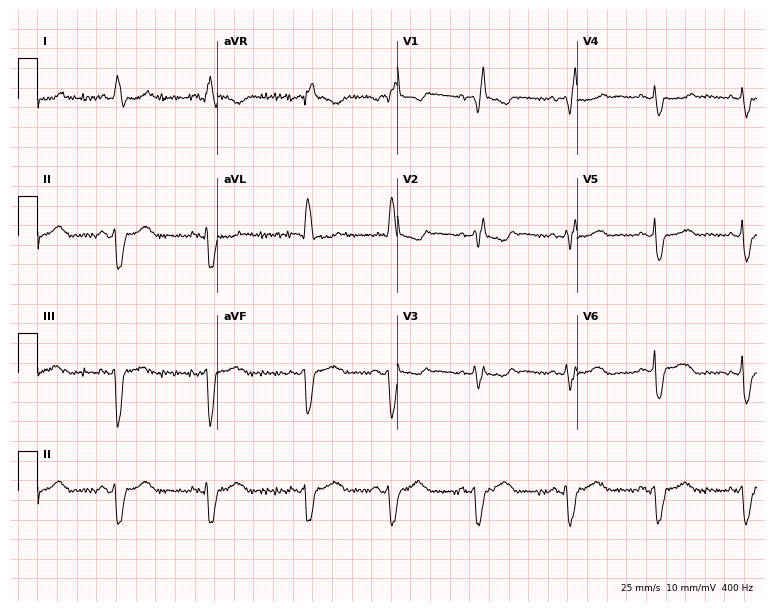
Standard 12-lead ECG recorded from a female, 84 years old. The tracing shows right bundle branch block (RBBB).